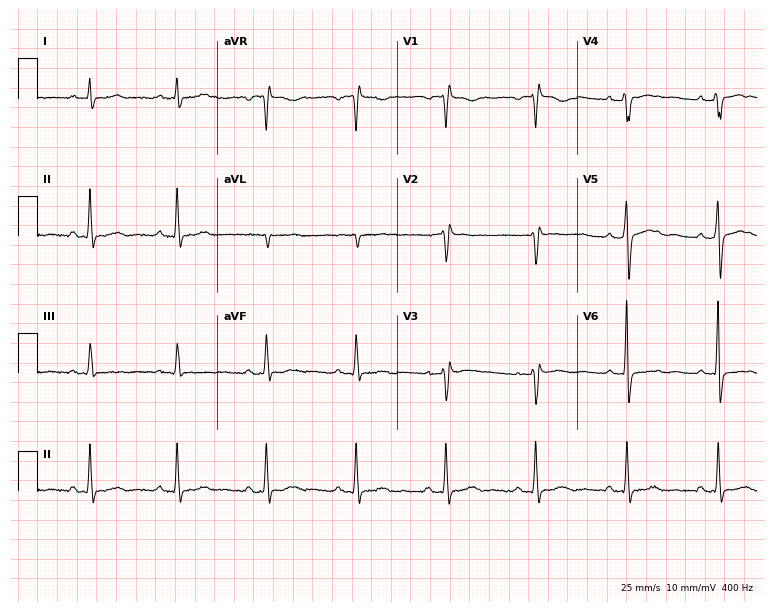
12-lead ECG from a female, 62 years old. No first-degree AV block, right bundle branch block, left bundle branch block, sinus bradycardia, atrial fibrillation or sinus tachycardia recorded for this tracing.